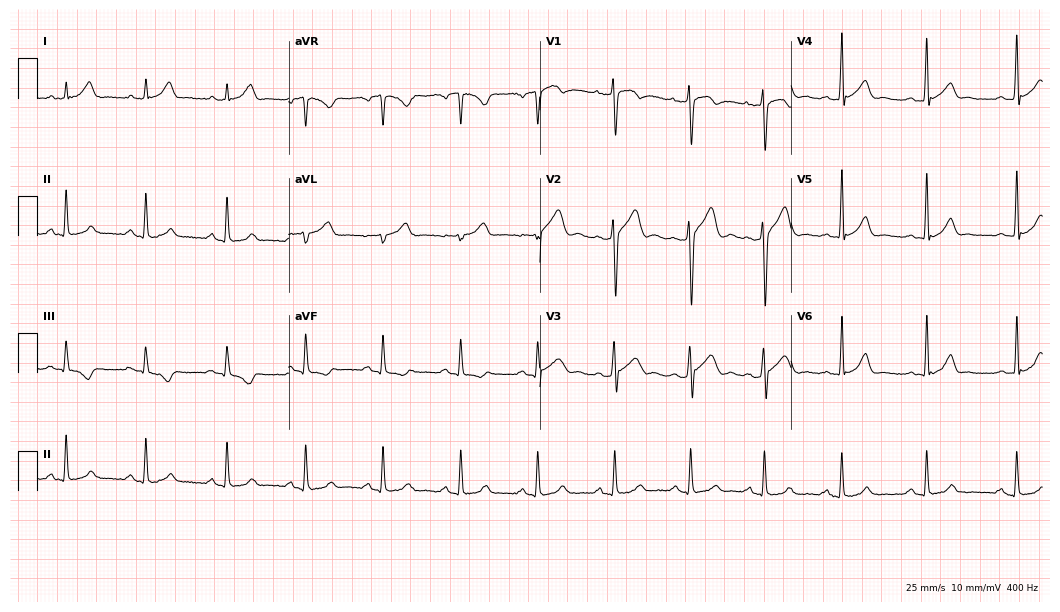
Standard 12-lead ECG recorded from a 28-year-old male patient (10.2-second recording at 400 Hz). None of these six findings is recorded: first-degree AV block, right bundle branch block, left bundle branch block, sinus bradycardia, atrial fibrillation, sinus tachycardia. Other findings, if any, are not listed.